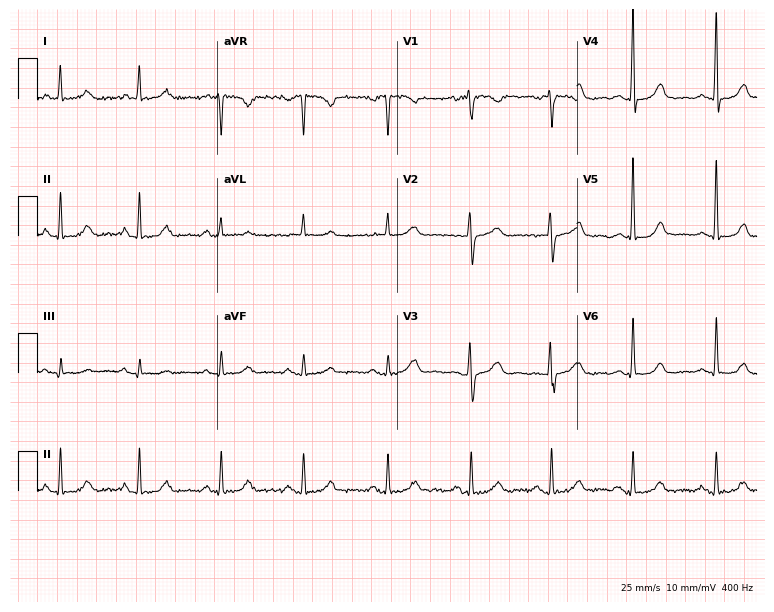
12-lead ECG from a 58-year-old female. Labelled as a normal ECG.